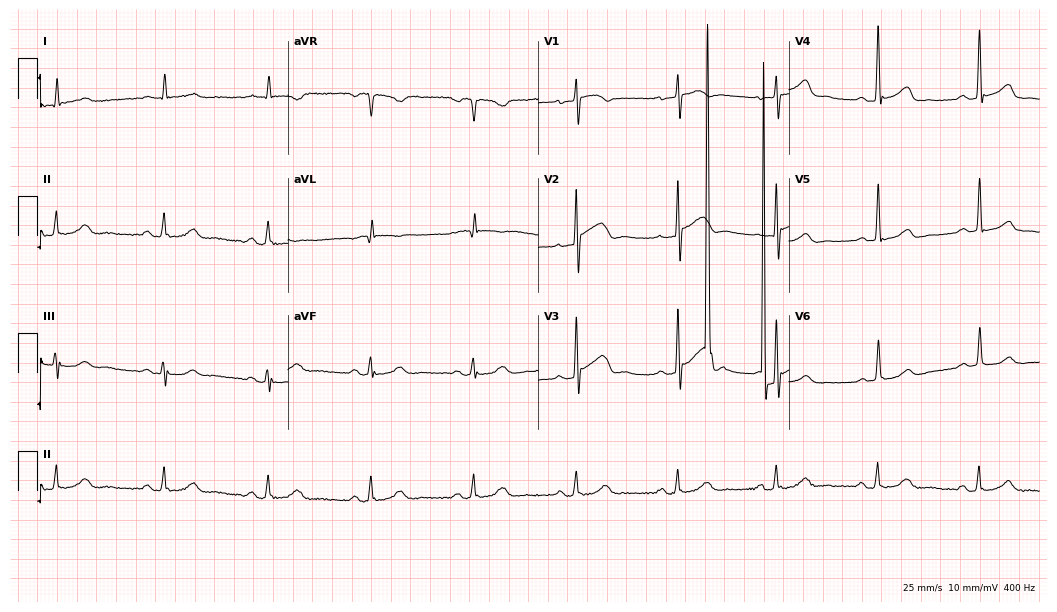
Resting 12-lead electrocardiogram (10.2-second recording at 400 Hz). Patient: a female, 62 years old. Read as a normal ECG.